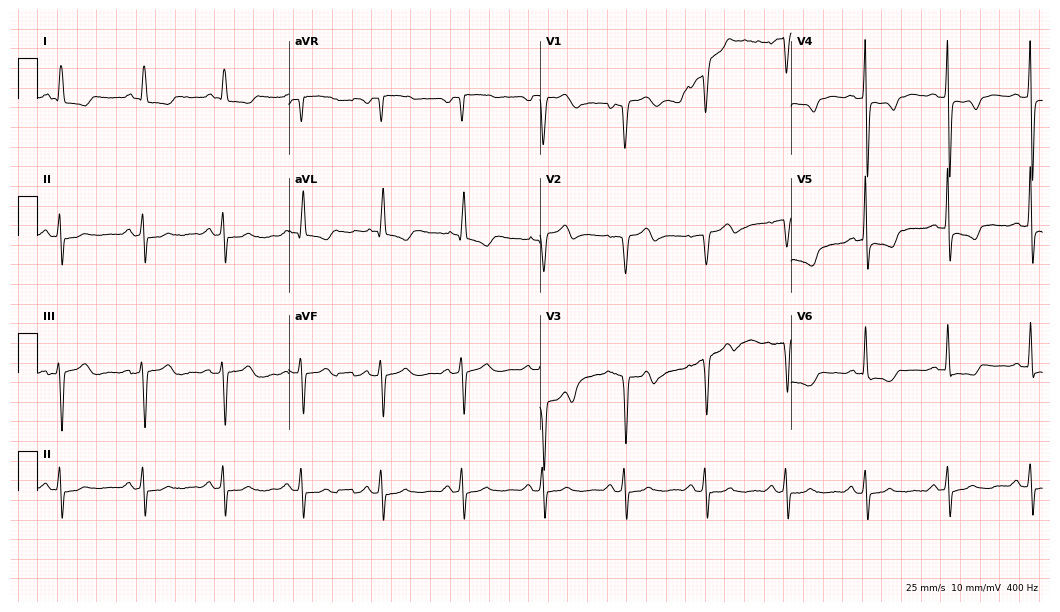
Electrocardiogram (10.2-second recording at 400 Hz), a 63-year-old man. Of the six screened findings (first-degree AV block, right bundle branch block, left bundle branch block, sinus bradycardia, atrial fibrillation, sinus tachycardia), none is recorded. Only these six findings were labelled.